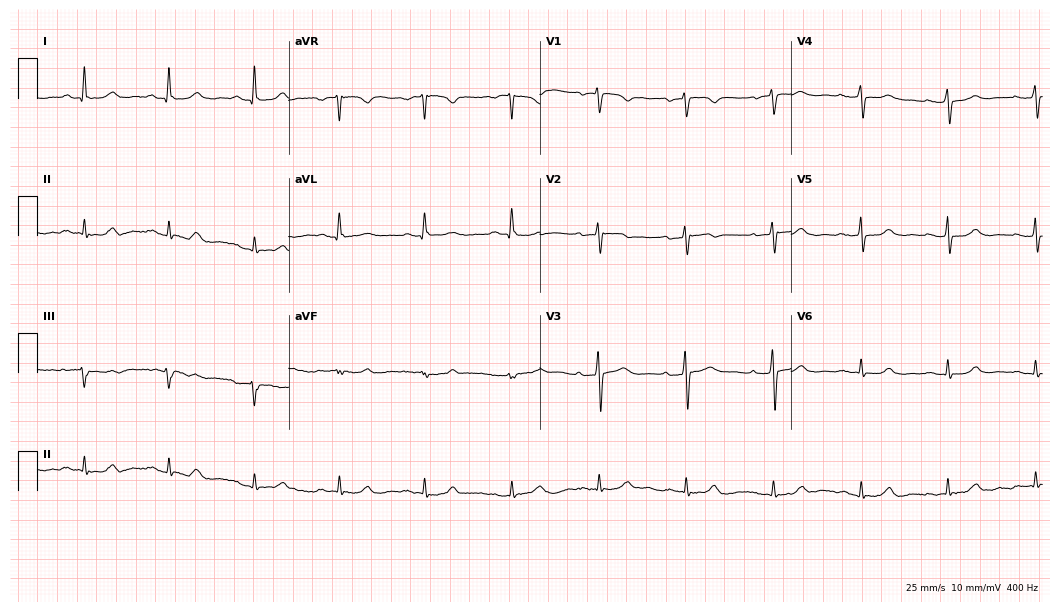
ECG — a female patient, 72 years old. Labelled as a normal ECG.